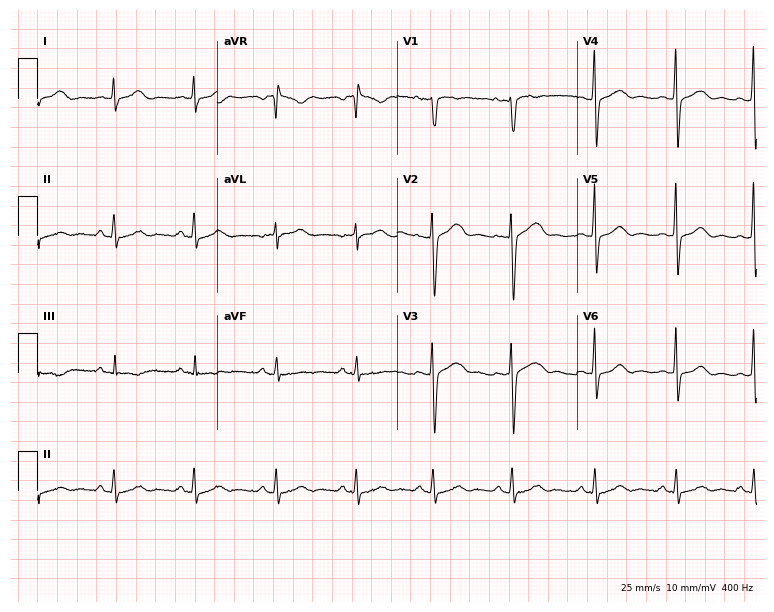
12-lead ECG from a 28-year-old female patient. Recorded interpretation: within normal limits.